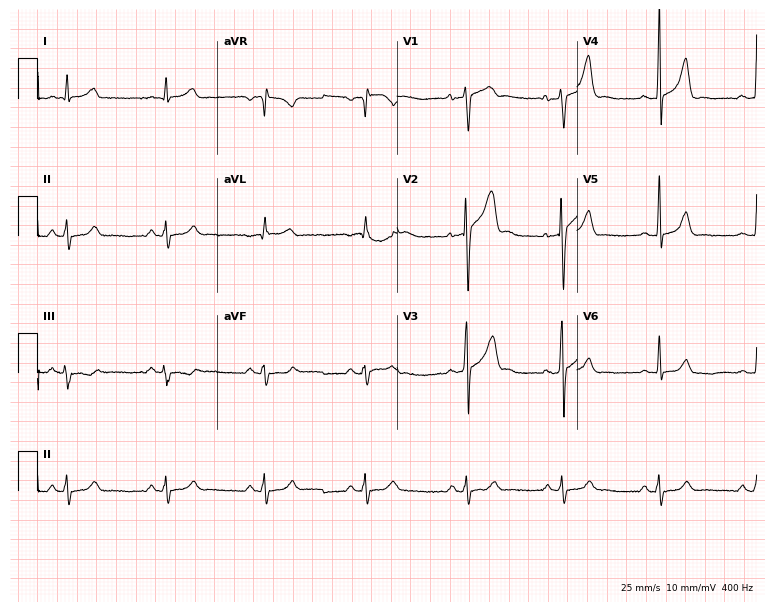
Resting 12-lead electrocardiogram. Patient: a male, 36 years old. Read as a normal ECG.